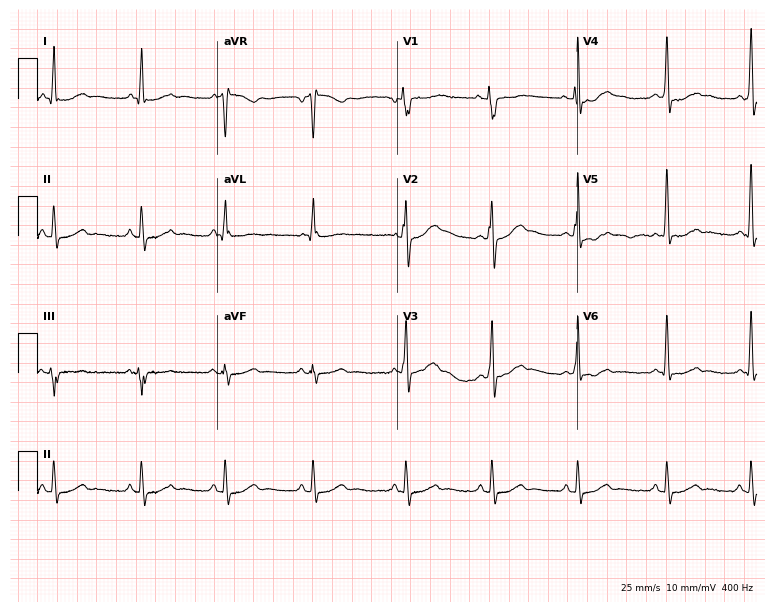
Electrocardiogram (7.3-second recording at 400 Hz), a male patient, 62 years old. Of the six screened findings (first-degree AV block, right bundle branch block, left bundle branch block, sinus bradycardia, atrial fibrillation, sinus tachycardia), none is recorded. Findings outside these six are not listed.